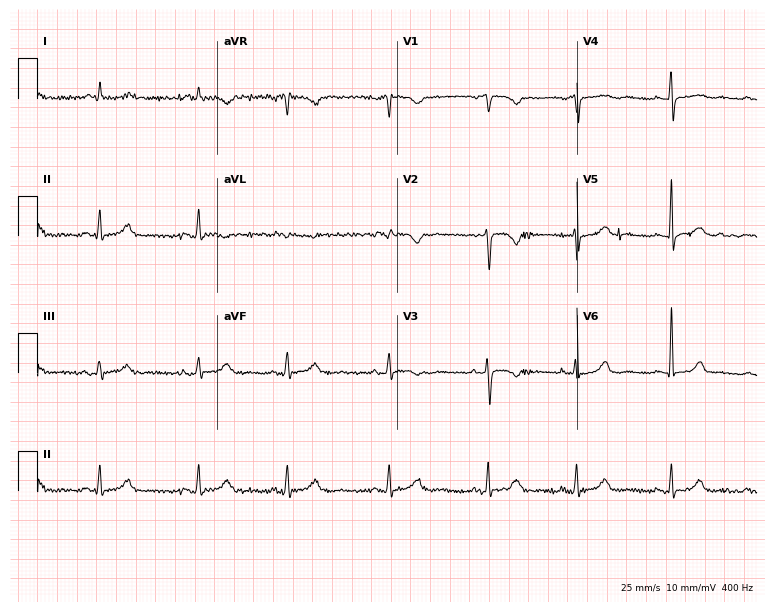
Resting 12-lead electrocardiogram (7.3-second recording at 400 Hz). Patient: a 50-year-old woman. None of these six findings is recorded: first-degree AV block, right bundle branch block, left bundle branch block, sinus bradycardia, atrial fibrillation, sinus tachycardia.